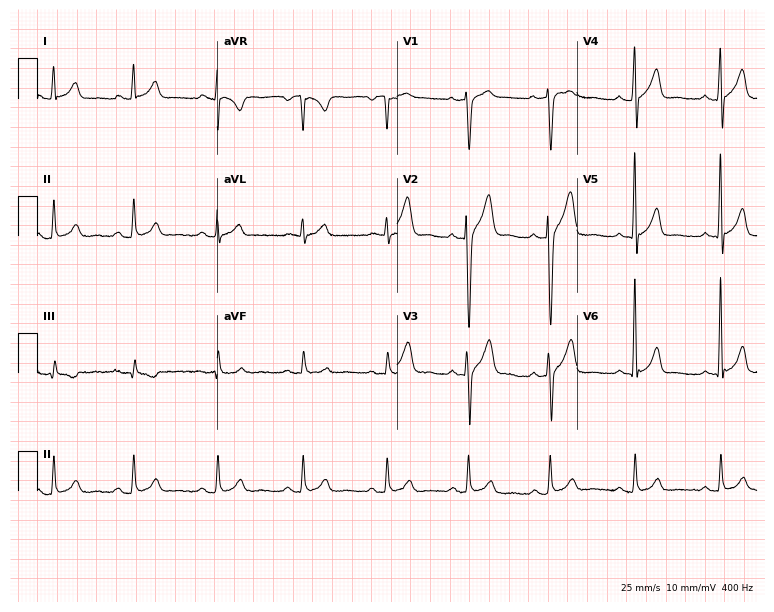
12-lead ECG from a 32-year-old male patient (7.3-second recording at 400 Hz). Recorded interpretation: within normal limits.